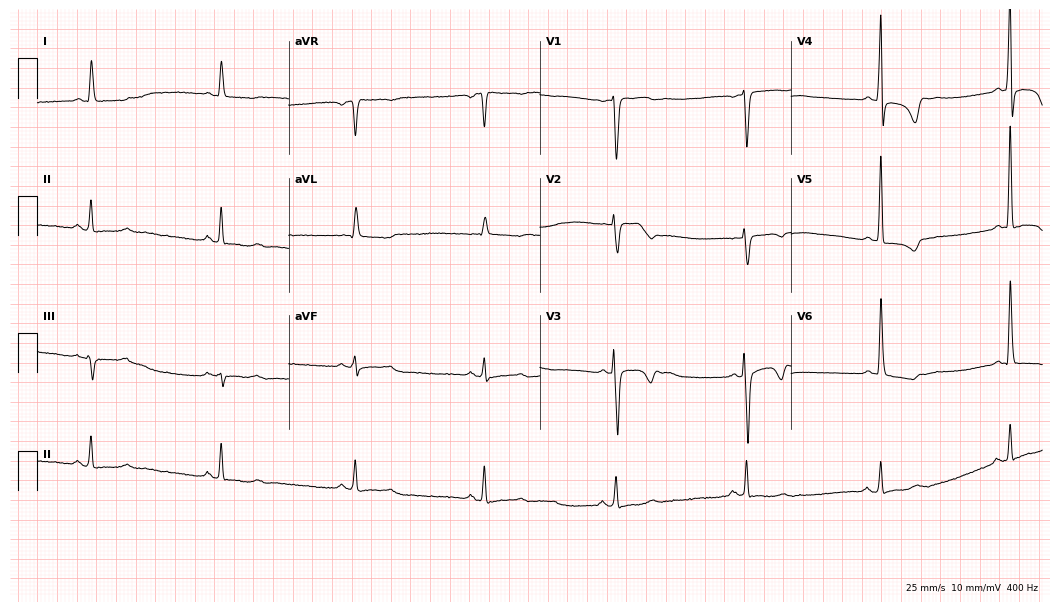
Electrocardiogram (10.2-second recording at 400 Hz), a 43-year-old female patient. Interpretation includes sinus bradycardia (a sinus rate of 50 beats per minute or less).